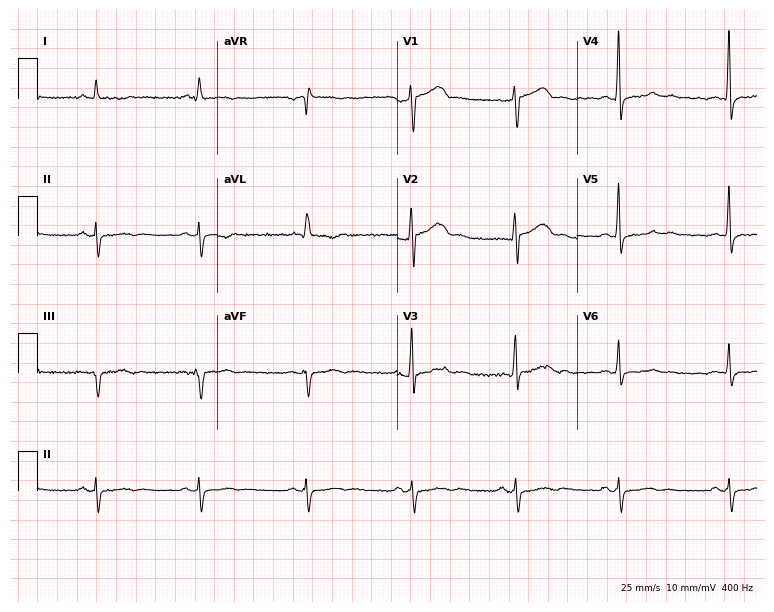
12-lead ECG from a man, 64 years old (7.3-second recording at 400 Hz). No first-degree AV block, right bundle branch block (RBBB), left bundle branch block (LBBB), sinus bradycardia, atrial fibrillation (AF) or sinus tachycardia recorded for this tracing.